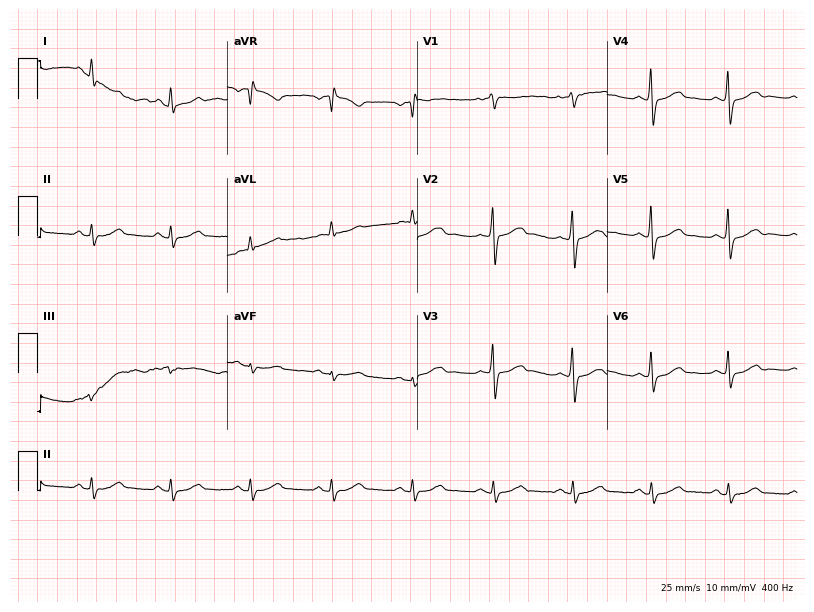
Resting 12-lead electrocardiogram. Patient: a 65-year-old woman. None of these six findings is recorded: first-degree AV block, right bundle branch block, left bundle branch block, sinus bradycardia, atrial fibrillation, sinus tachycardia. Findings outside these six are not listed.